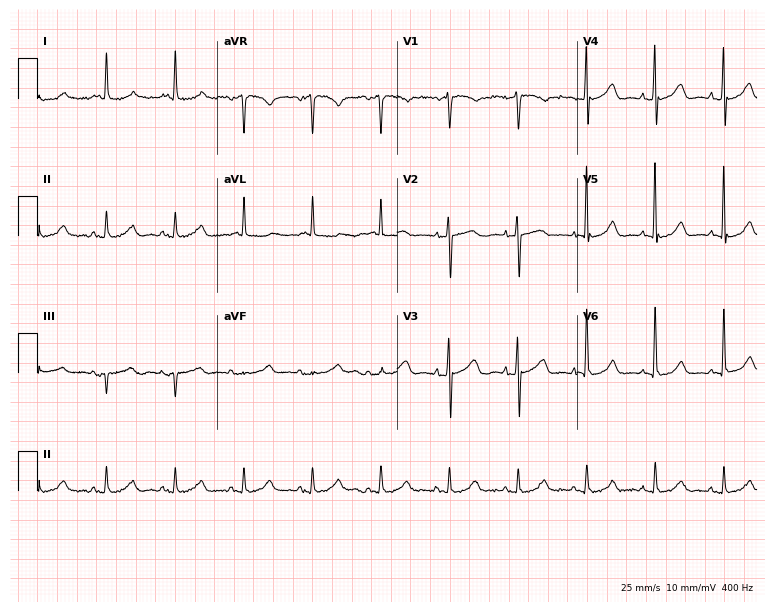
Standard 12-lead ECG recorded from an 86-year-old woman (7.3-second recording at 400 Hz). Read as a normal ECG.